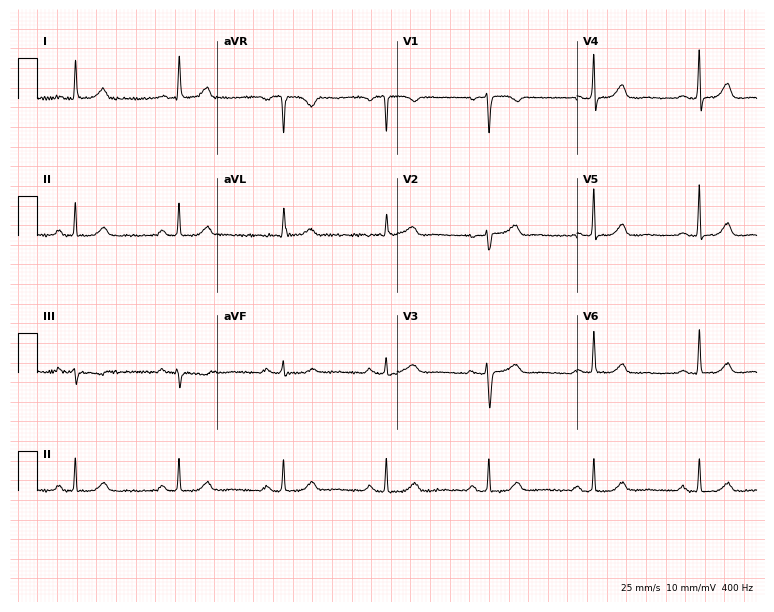
Standard 12-lead ECG recorded from a 52-year-old female. Read as a normal ECG.